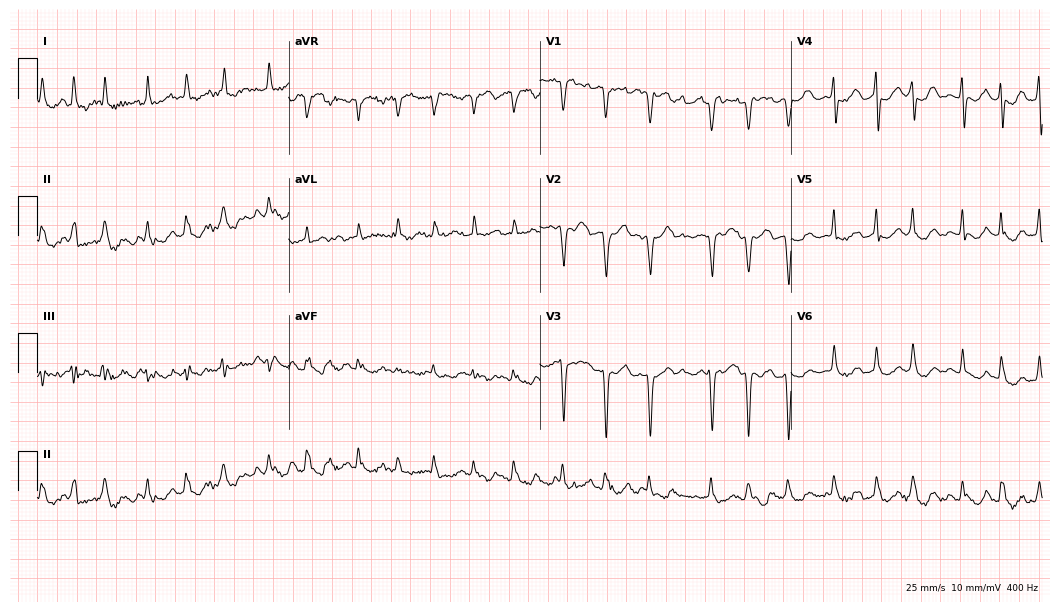
Electrocardiogram, a 58-year-old female. Interpretation includes atrial fibrillation.